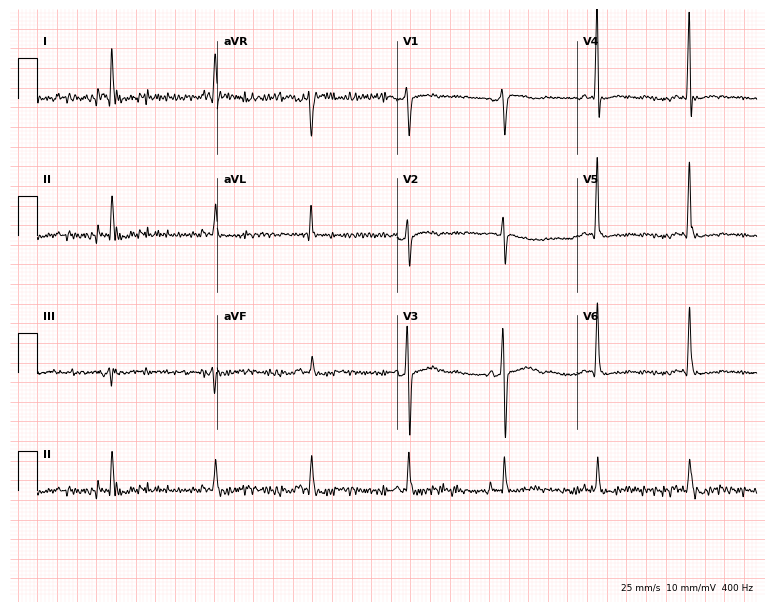
Resting 12-lead electrocardiogram. Patient: a 70-year-old female. None of these six findings is recorded: first-degree AV block, right bundle branch block, left bundle branch block, sinus bradycardia, atrial fibrillation, sinus tachycardia.